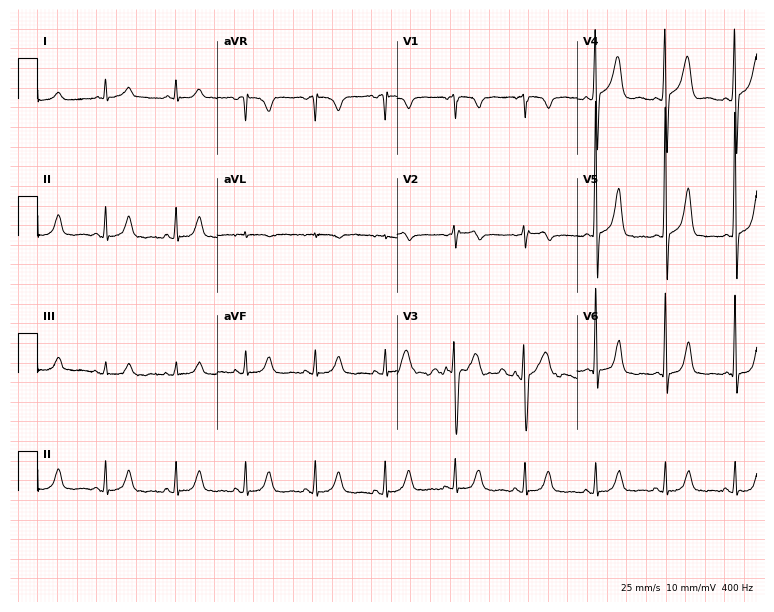
Electrocardiogram (7.3-second recording at 400 Hz), a man, 68 years old. Of the six screened findings (first-degree AV block, right bundle branch block, left bundle branch block, sinus bradycardia, atrial fibrillation, sinus tachycardia), none is recorded. Only these six findings were labelled.